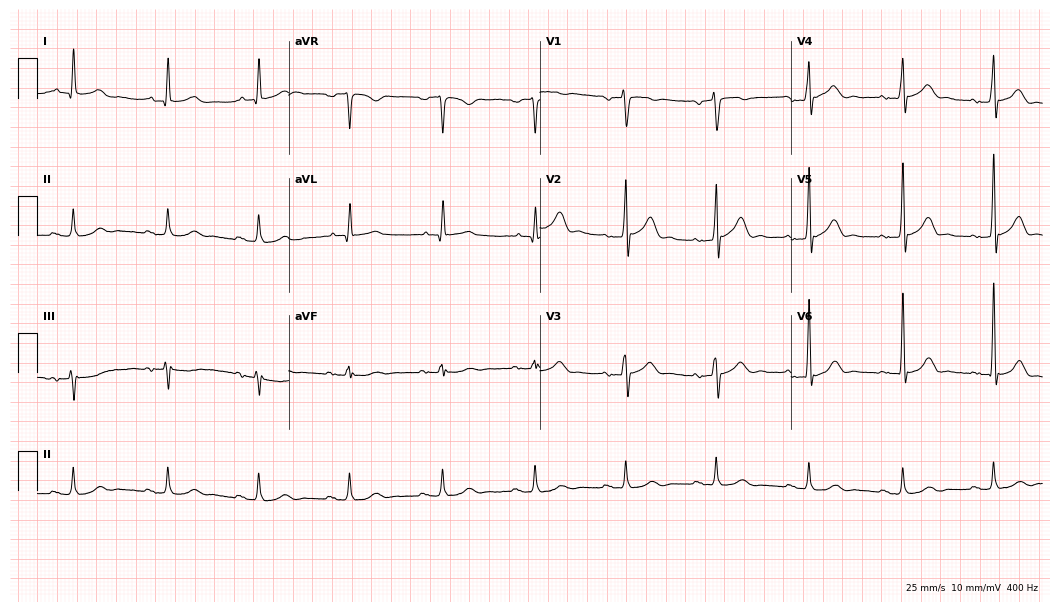
ECG (10.2-second recording at 400 Hz) — a 57-year-old man. Labelled as a normal ECG.